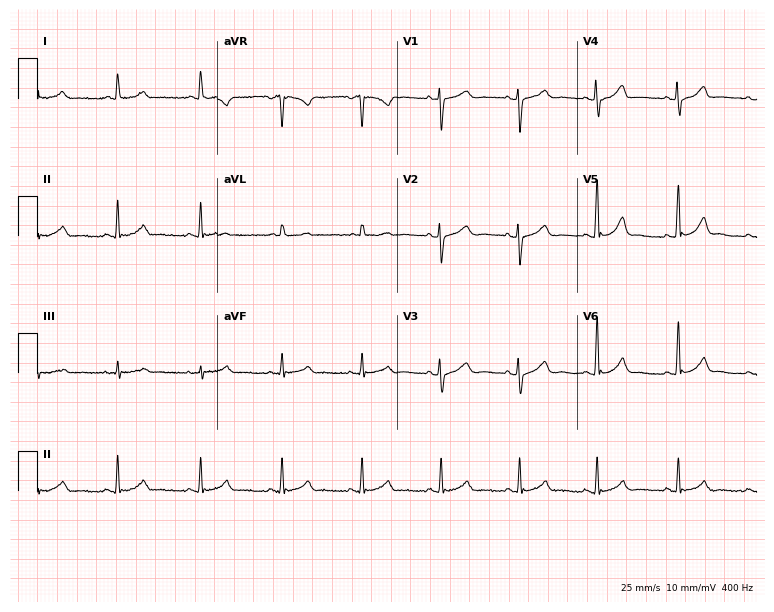
12-lead ECG (7.3-second recording at 400 Hz) from a 33-year-old female. Labelled as a normal ECG.